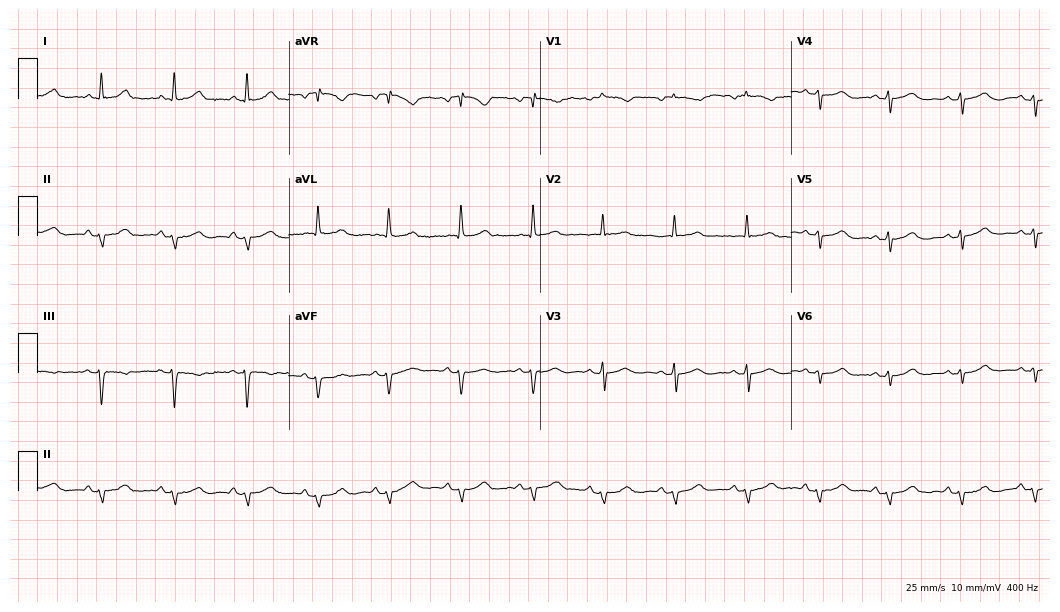
12-lead ECG from a female patient, 75 years old. No first-degree AV block, right bundle branch block, left bundle branch block, sinus bradycardia, atrial fibrillation or sinus tachycardia recorded for this tracing. Only these six findings were labelled.